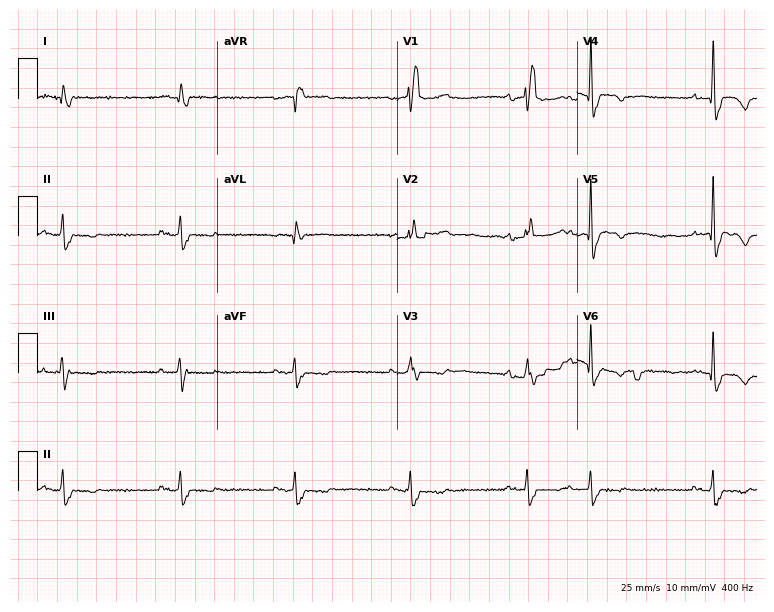
ECG (7.3-second recording at 400 Hz) — a man, 80 years old. Findings include right bundle branch block (RBBB).